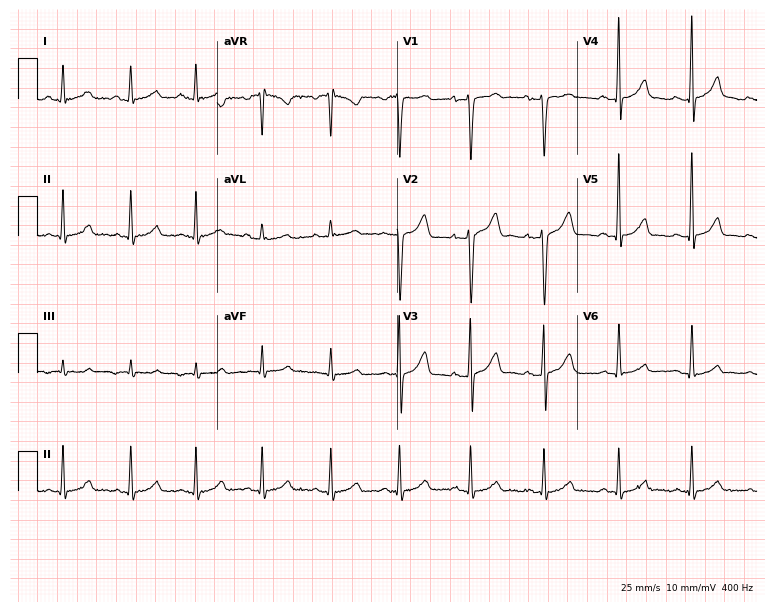
12-lead ECG from a 37-year-old female patient. Screened for six findings — first-degree AV block, right bundle branch block, left bundle branch block, sinus bradycardia, atrial fibrillation, sinus tachycardia — none is recorded. Findings outside these six are not listed.